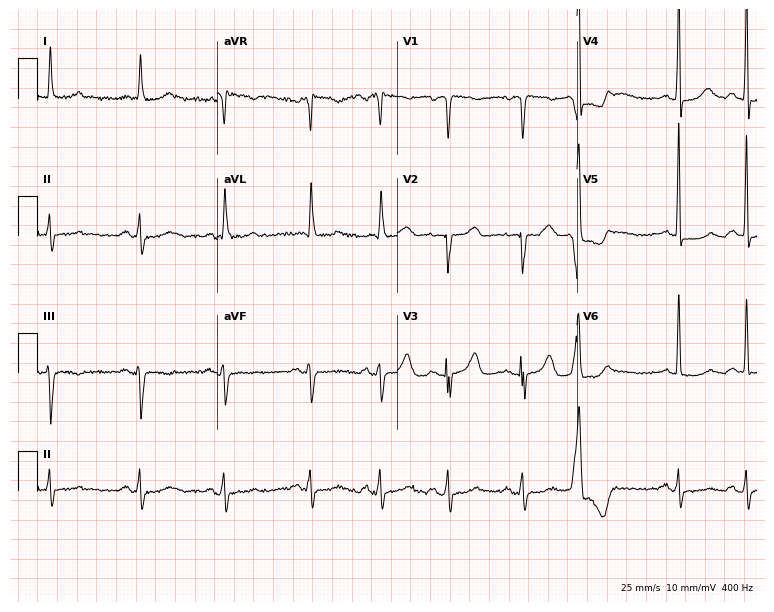
ECG — a female patient, 70 years old. Screened for six findings — first-degree AV block, right bundle branch block, left bundle branch block, sinus bradycardia, atrial fibrillation, sinus tachycardia — none is recorded. Findings outside these six are not listed.